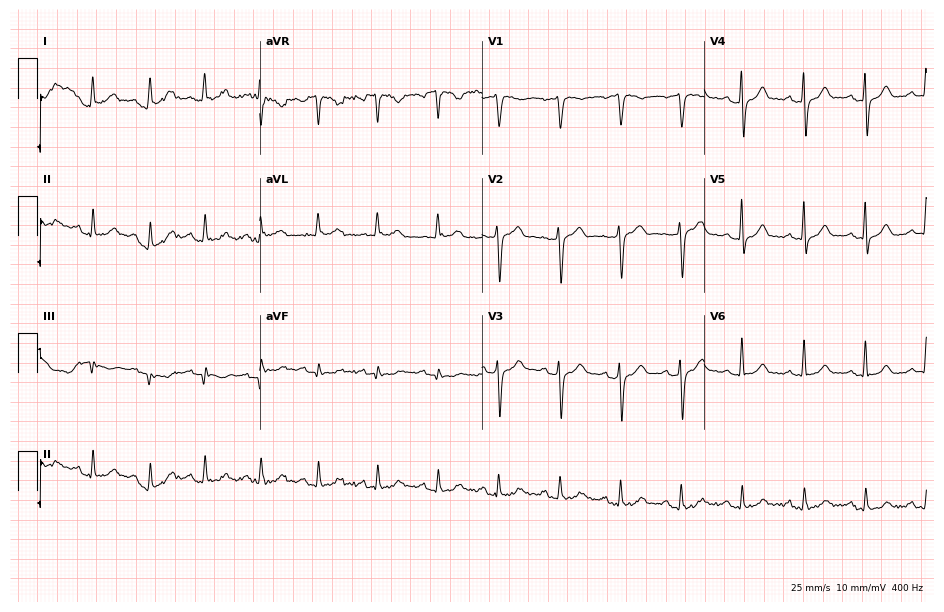
12-lead ECG from a 74-year-old female. Labelled as a normal ECG.